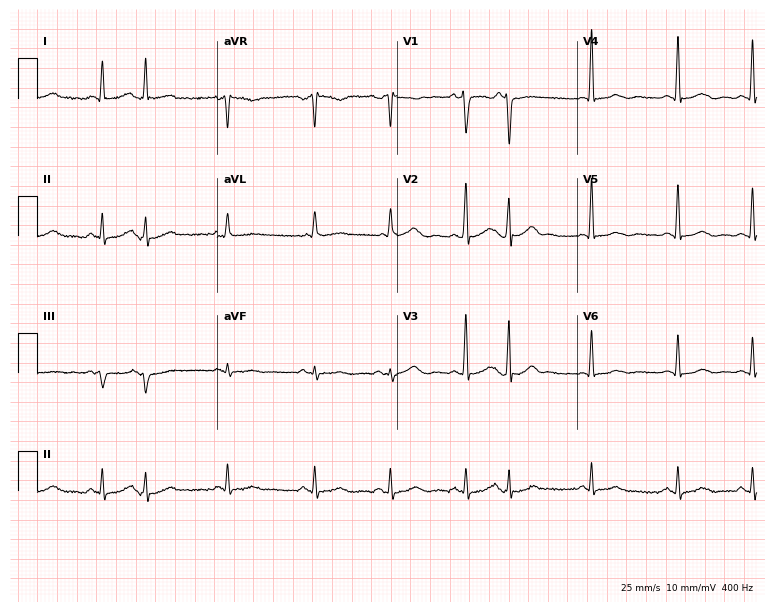
Standard 12-lead ECG recorded from a 64-year-old male patient. Read as a normal ECG.